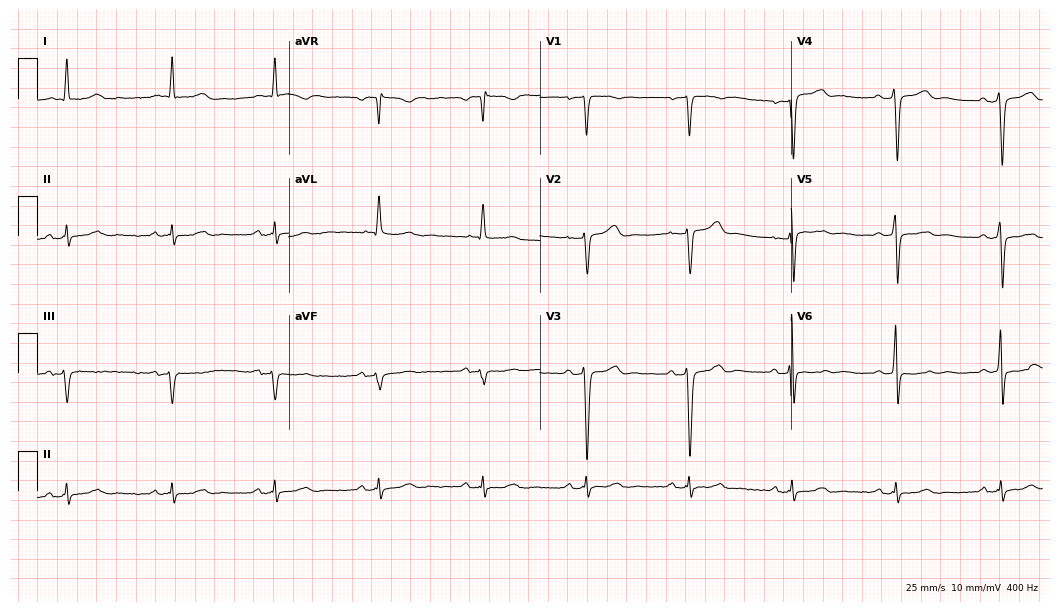
12-lead ECG from a 73-year-old male patient. No first-degree AV block, right bundle branch block, left bundle branch block, sinus bradycardia, atrial fibrillation or sinus tachycardia recorded for this tracing. Findings outside these six are not listed.